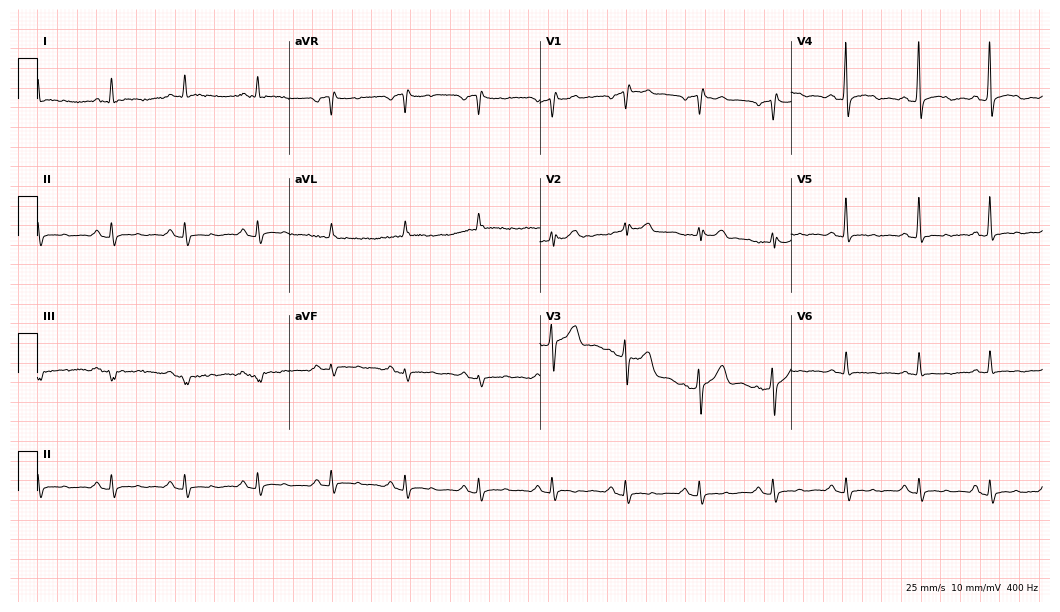
12-lead ECG from a 55-year-old male patient. Screened for six findings — first-degree AV block, right bundle branch block, left bundle branch block, sinus bradycardia, atrial fibrillation, sinus tachycardia — none is recorded.